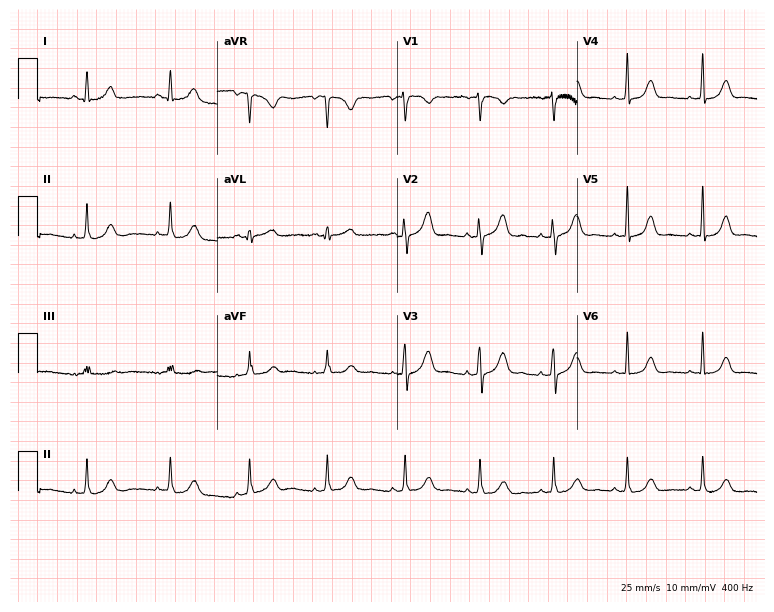
Resting 12-lead electrocardiogram (7.3-second recording at 400 Hz). Patient: a 36-year-old female. Read as a normal ECG.